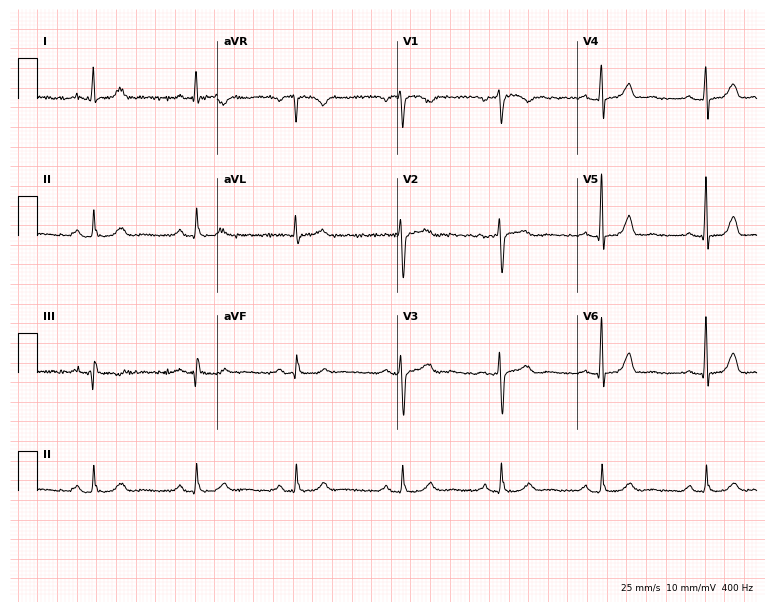
ECG (7.3-second recording at 400 Hz) — a female, 62 years old. Screened for six findings — first-degree AV block, right bundle branch block, left bundle branch block, sinus bradycardia, atrial fibrillation, sinus tachycardia — none is recorded. Only these six findings were labelled.